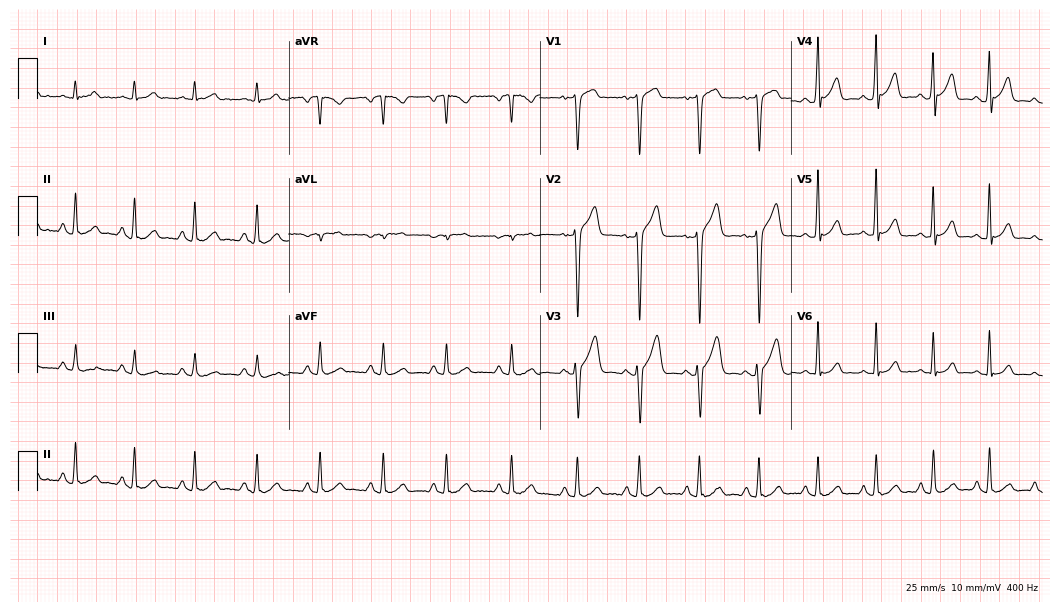
12-lead ECG (10.2-second recording at 400 Hz) from a male, 26 years old. Screened for six findings — first-degree AV block, right bundle branch block, left bundle branch block, sinus bradycardia, atrial fibrillation, sinus tachycardia — none is recorded.